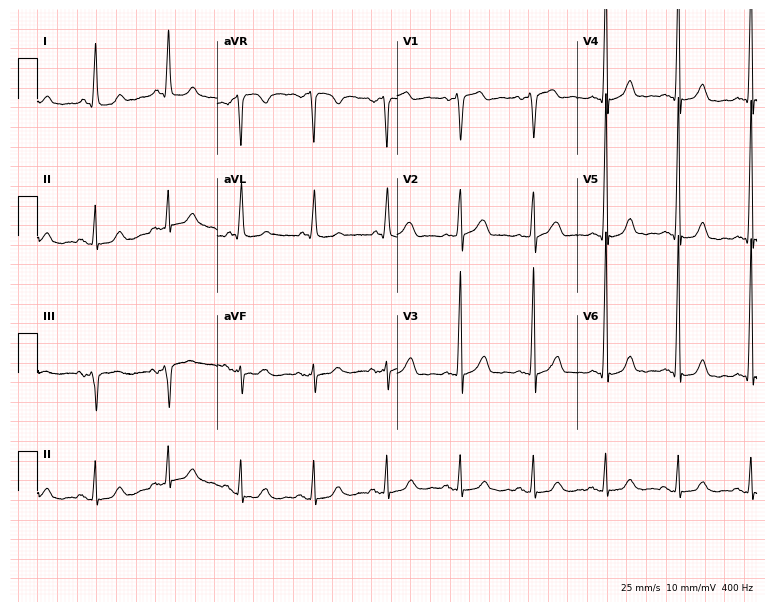
12-lead ECG from a 64-year-old male patient. No first-degree AV block, right bundle branch block, left bundle branch block, sinus bradycardia, atrial fibrillation or sinus tachycardia recorded for this tracing. Only these six findings were labelled.